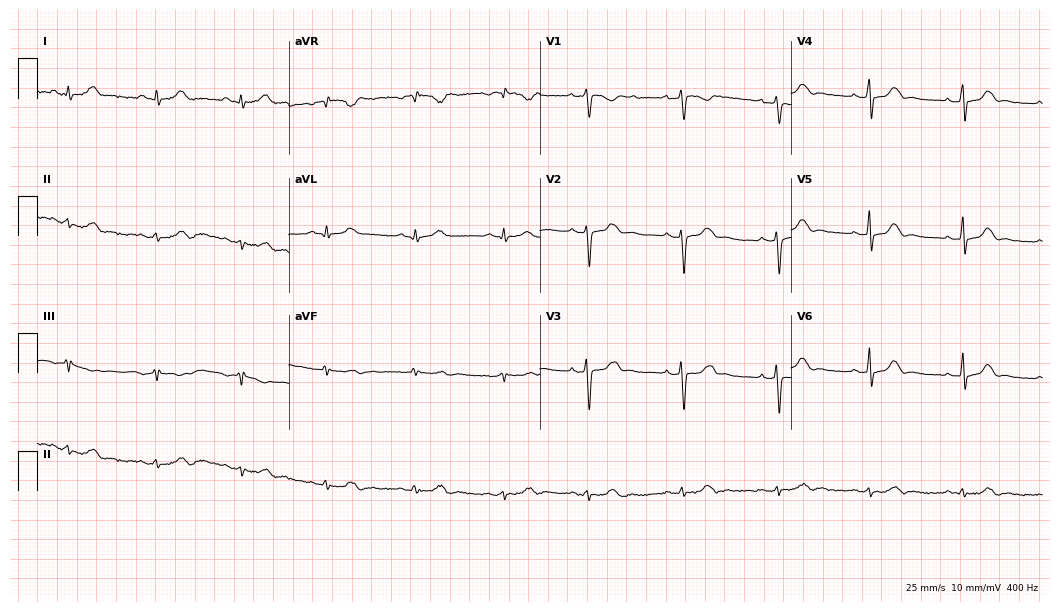
Standard 12-lead ECG recorded from a 23-year-old female patient. Read as a normal ECG.